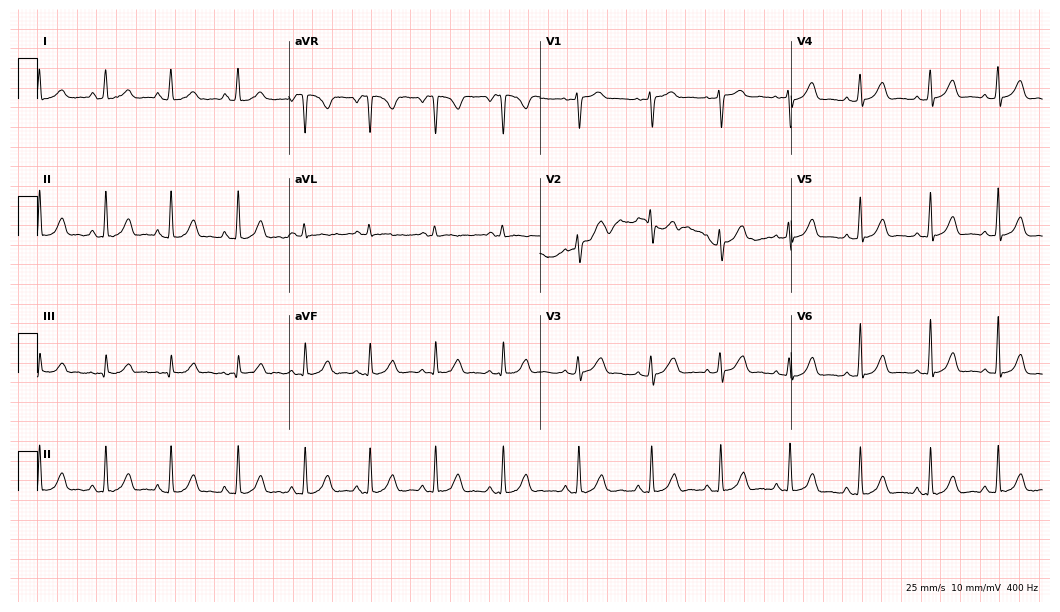
Standard 12-lead ECG recorded from a 31-year-old female patient. Read as a normal ECG.